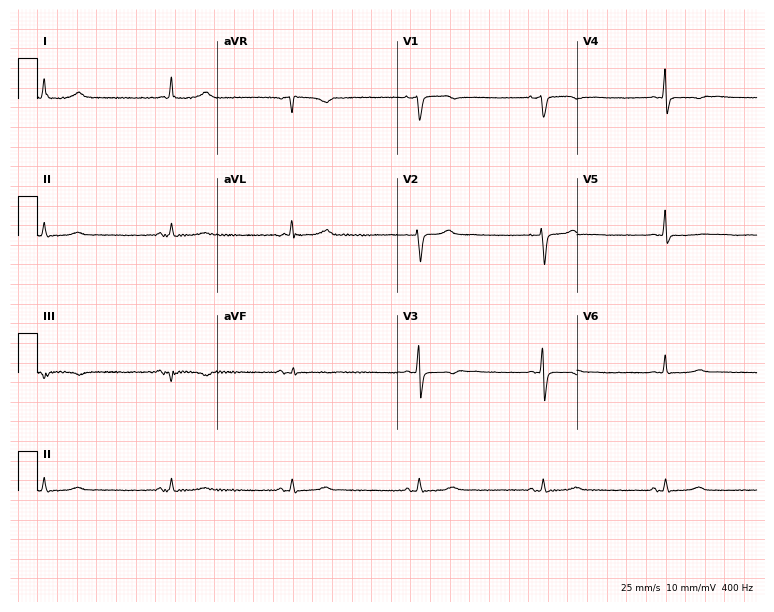
Electrocardiogram (7.3-second recording at 400 Hz), a 78-year-old woman. Interpretation includes sinus bradycardia (a sinus rate of 50 beats per minute or less).